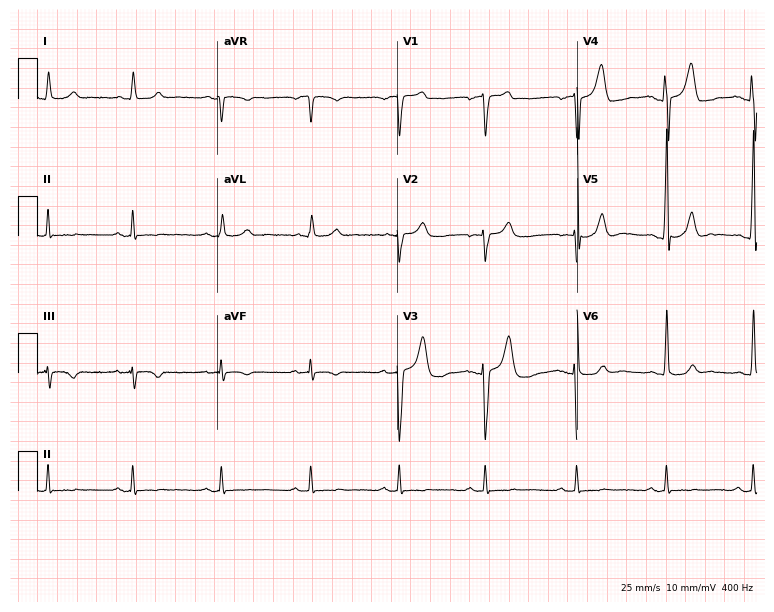
Resting 12-lead electrocardiogram. Patient: a man, 52 years old. None of these six findings is recorded: first-degree AV block, right bundle branch block (RBBB), left bundle branch block (LBBB), sinus bradycardia, atrial fibrillation (AF), sinus tachycardia.